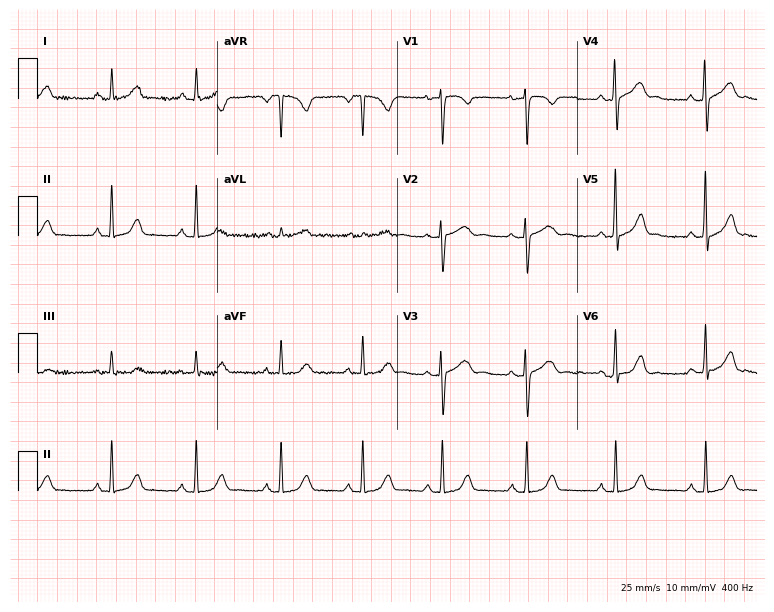
12-lead ECG from a 28-year-old woman. Recorded interpretation: within normal limits.